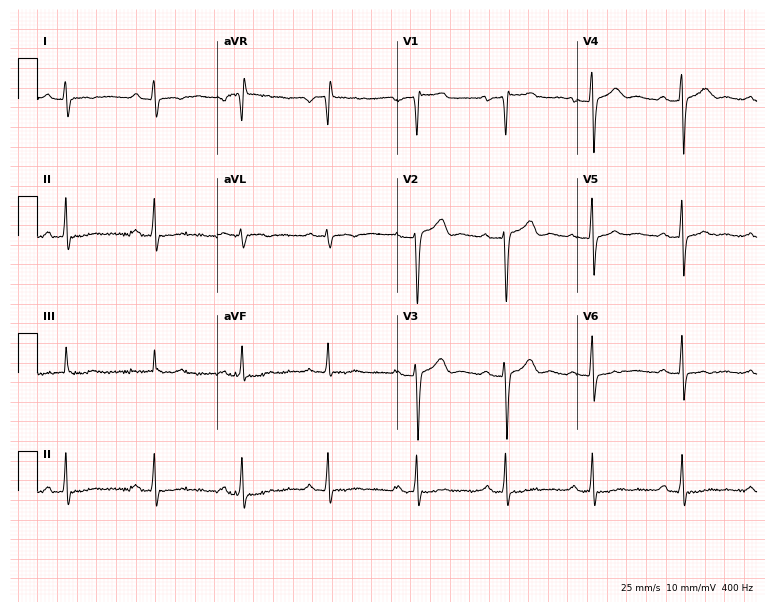
Standard 12-lead ECG recorded from a male patient, 36 years old. None of these six findings is recorded: first-degree AV block, right bundle branch block (RBBB), left bundle branch block (LBBB), sinus bradycardia, atrial fibrillation (AF), sinus tachycardia. Findings outside these six are not listed.